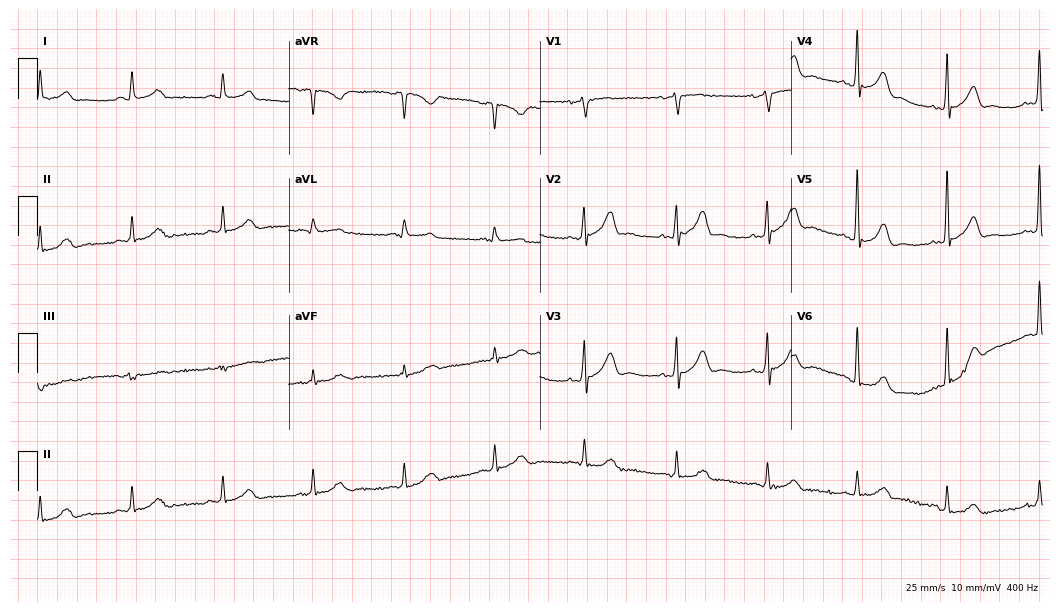
12-lead ECG (10.2-second recording at 400 Hz) from a 71-year-old male patient. Labelled as a normal ECG.